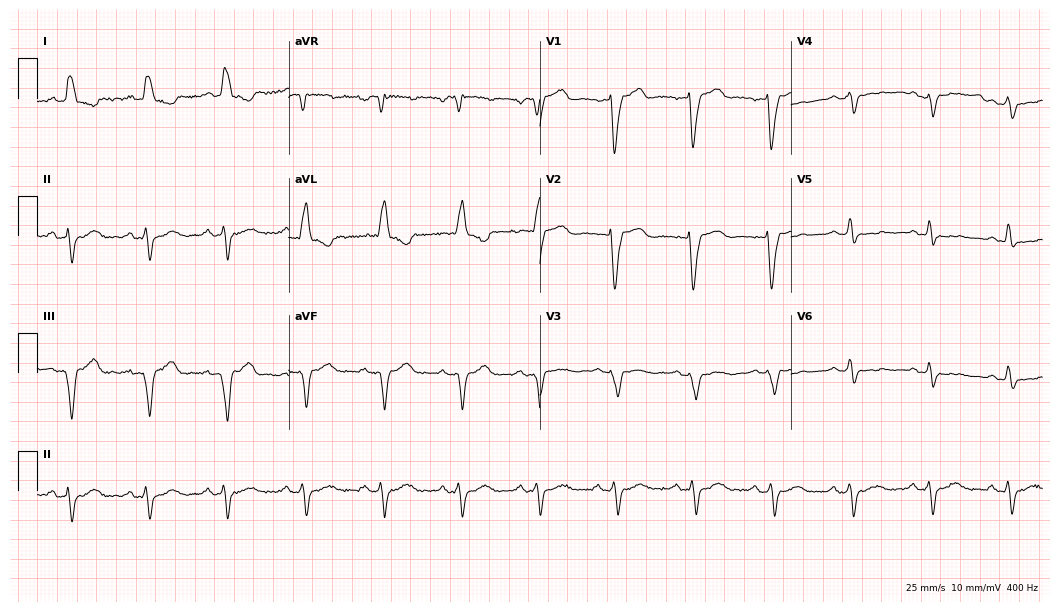
Standard 12-lead ECG recorded from a woman, 74 years old. The tracing shows left bundle branch block.